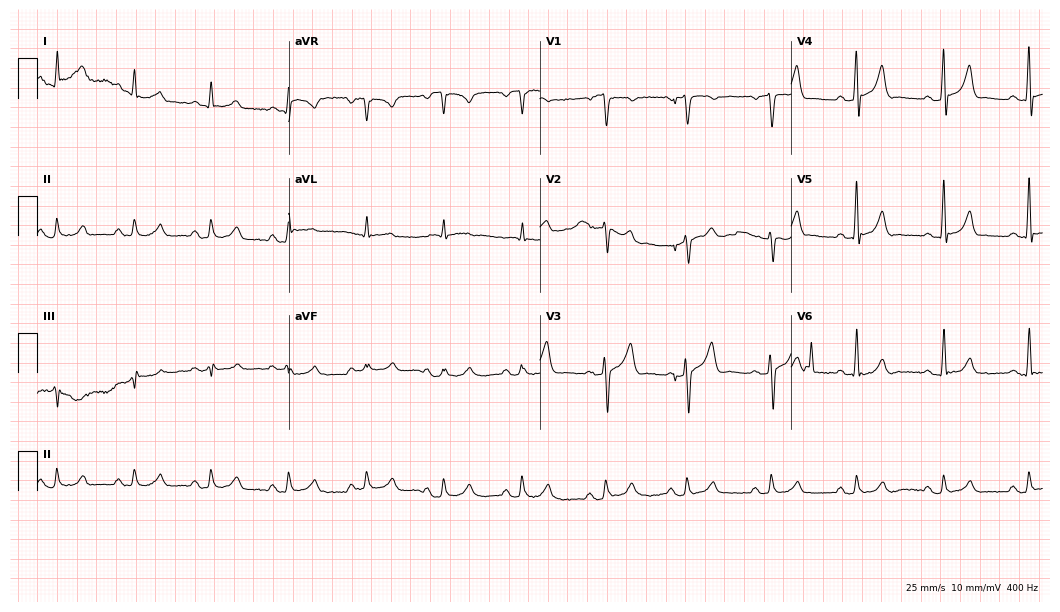
Standard 12-lead ECG recorded from a 75-year-old male patient (10.2-second recording at 400 Hz). None of these six findings is recorded: first-degree AV block, right bundle branch block, left bundle branch block, sinus bradycardia, atrial fibrillation, sinus tachycardia.